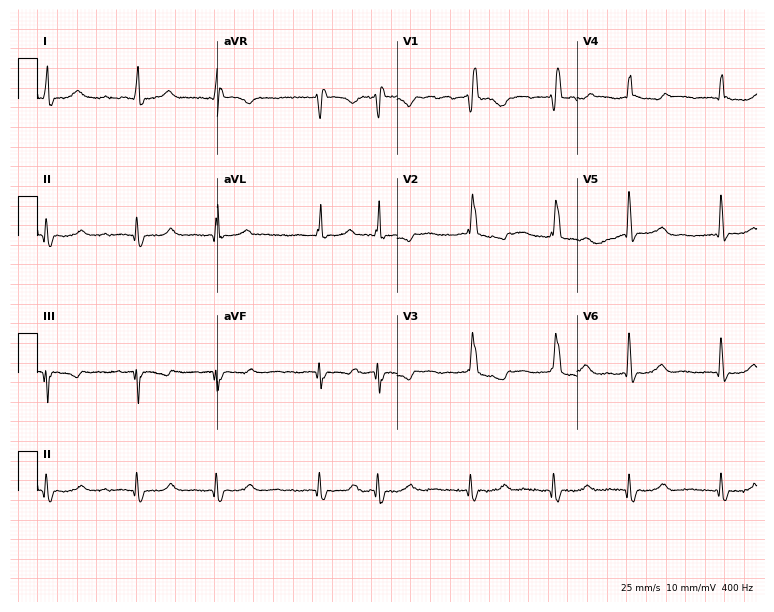
12-lead ECG from a woman, 72 years old (7.3-second recording at 400 Hz). Shows right bundle branch block, atrial fibrillation.